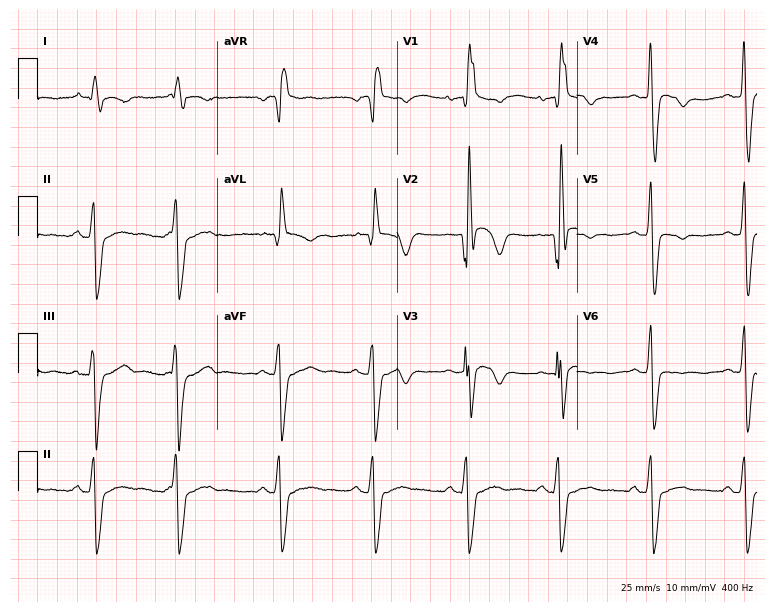
Resting 12-lead electrocardiogram (7.3-second recording at 400 Hz). Patient: a female, 85 years old. The tracing shows right bundle branch block.